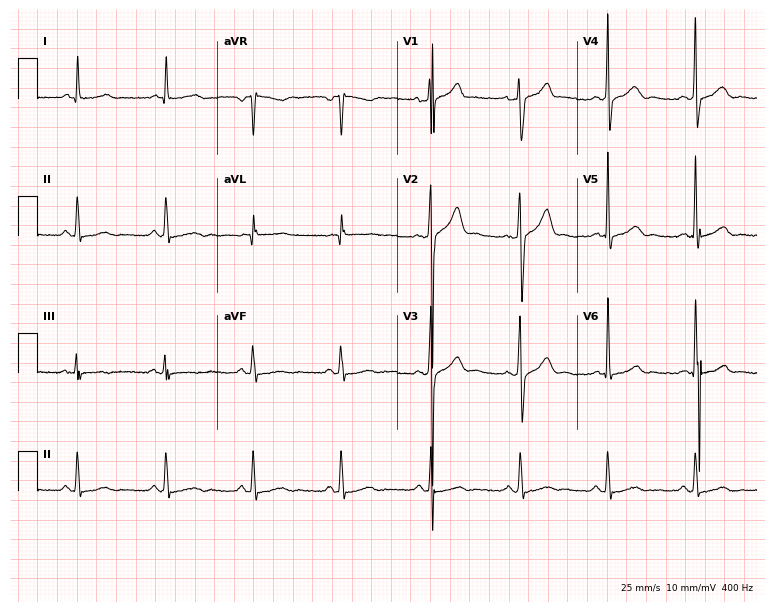
Resting 12-lead electrocardiogram (7.3-second recording at 400 Hz). Patient: a male, 57 years old. Read as a normal ECG.